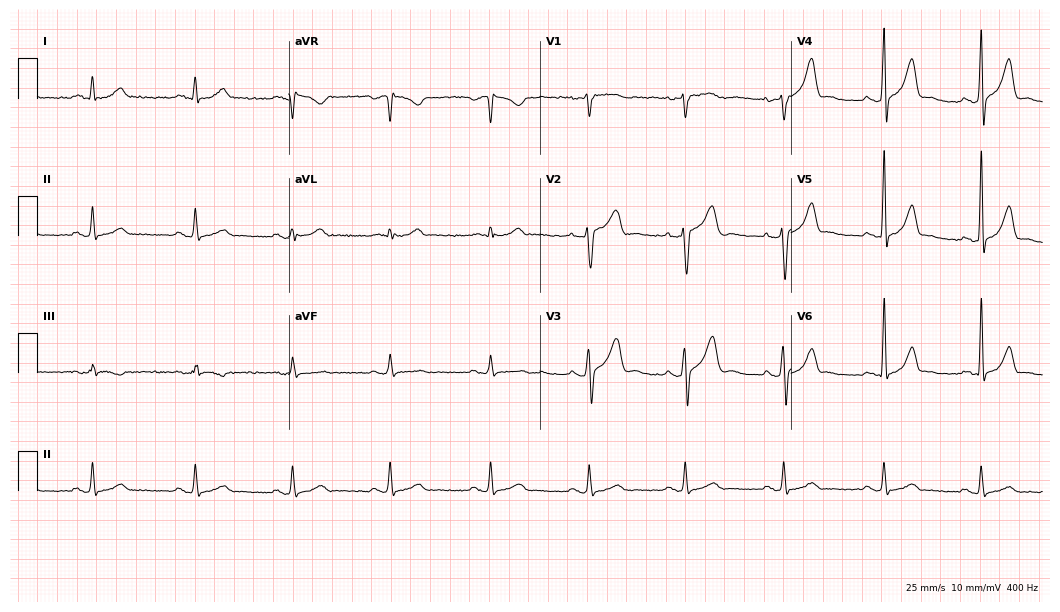
Electrocardiogram (10.2-second recording at 400 Hz), a 49-year-old man. Overall reading on record: normal ECG.